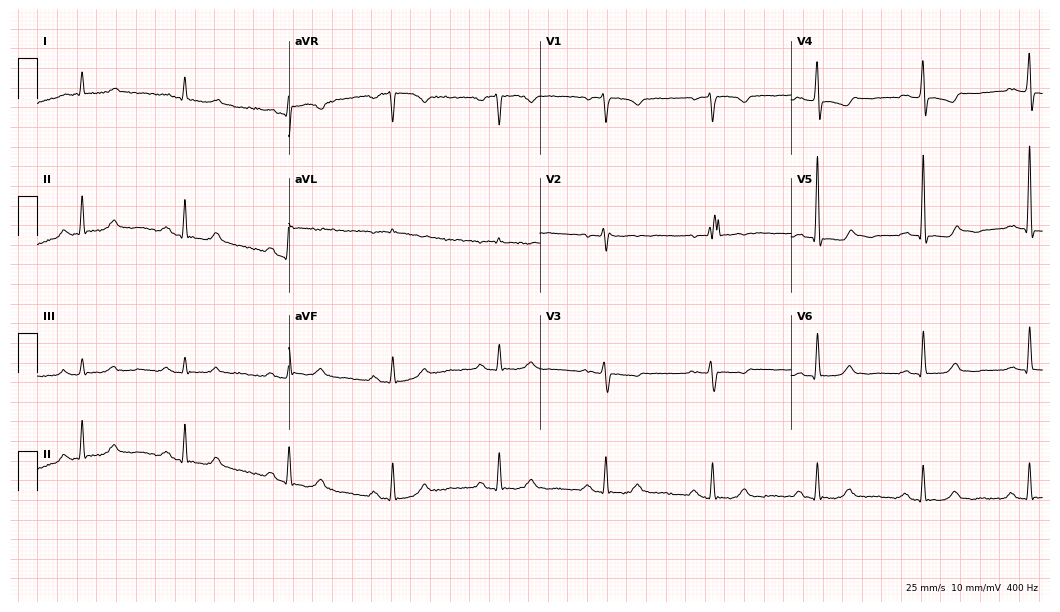
Electrocardiogram, a 57-year-old female patient. Of the six screened findings (first-degree AV block, right bundle branch block, left bundle branch block, sinus bradycardia, atrial fibrillation, sinus tachycardia), none is recorded.